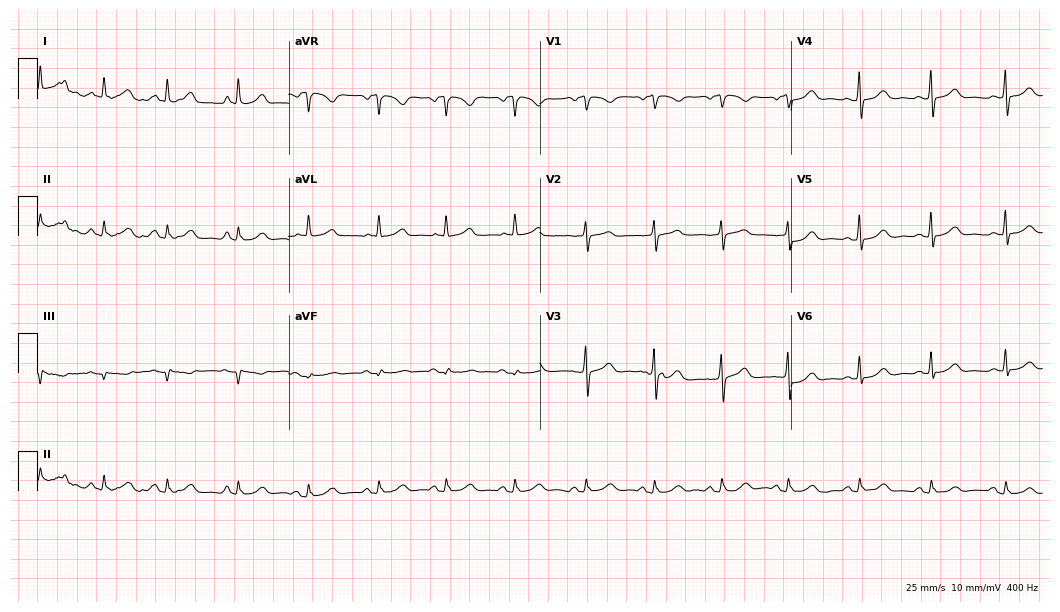
Electrocardiogram (10.2-second recording at 400 Hz), a woman, 50 years old. Overall reading on record: normal ECG.